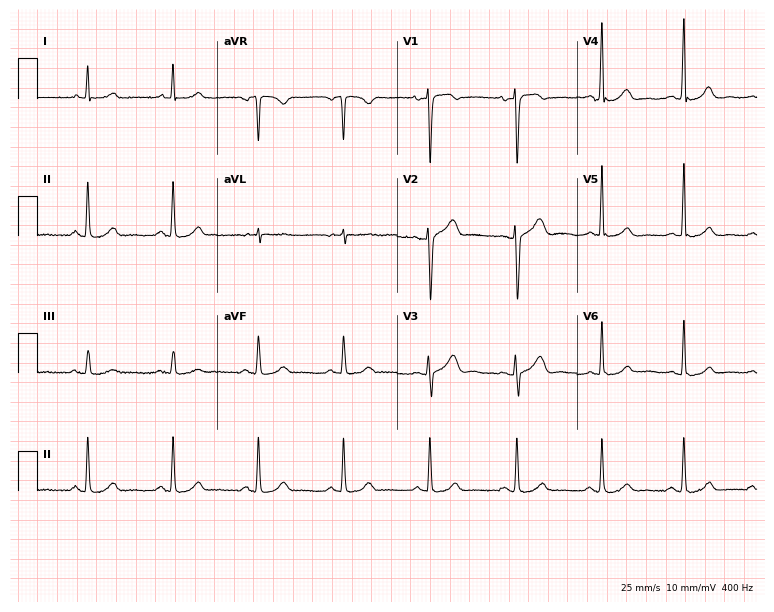
Resting 12-lead electrocardiogram. Patient: a 46-year-old woman. Read as a normal ECG.